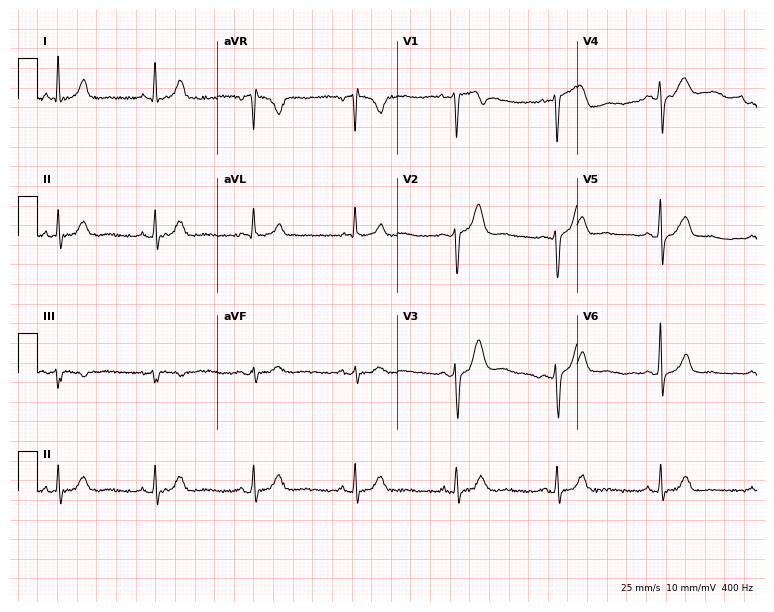
Electrocardiogram (7.3-second recording at 400 Hz), a female, 47 years old. Overall reading on record: normal ECG.